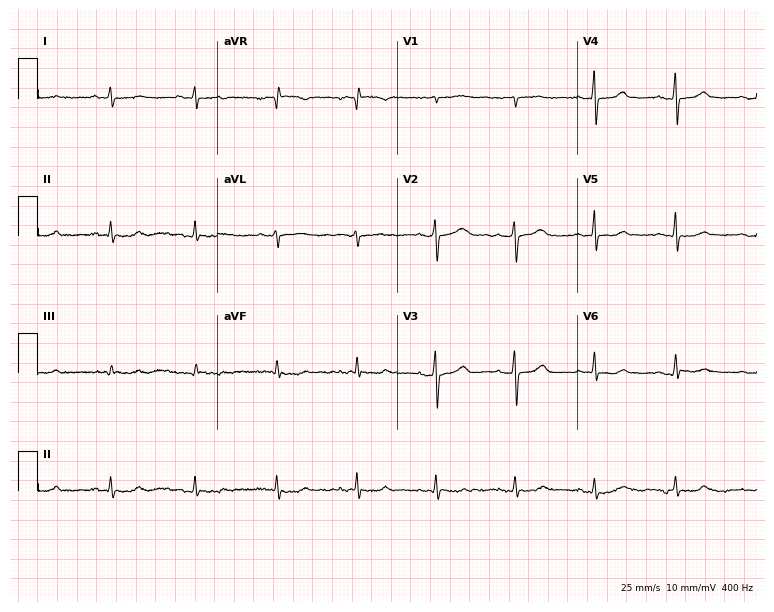
Standard 12-lead ECG recorded from a 57-year-old female (7.3-second recording at 400 Hz). None of these six findings is recorded: first-degree AV block, right bundle branch block (RBBB), left bundle branch block (LBBB), sinus bradycardia, atrial fibrillation (AF), sinus tachycardia. Findings outside these six are not listed.